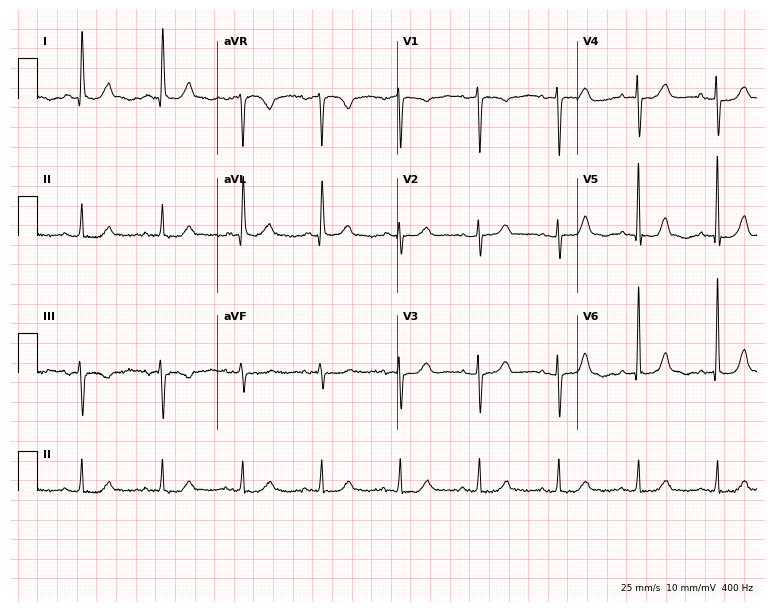
12-lead ECG from an 82-year-old female (7.3-second recording at 400 Hz). No first-degree AV block, right bundle branch block, left bundle branch block, sinus bradycardia, atrial fibrillation or sinus tachycardia recorded for this tracing. Findings outside these six are not listed.